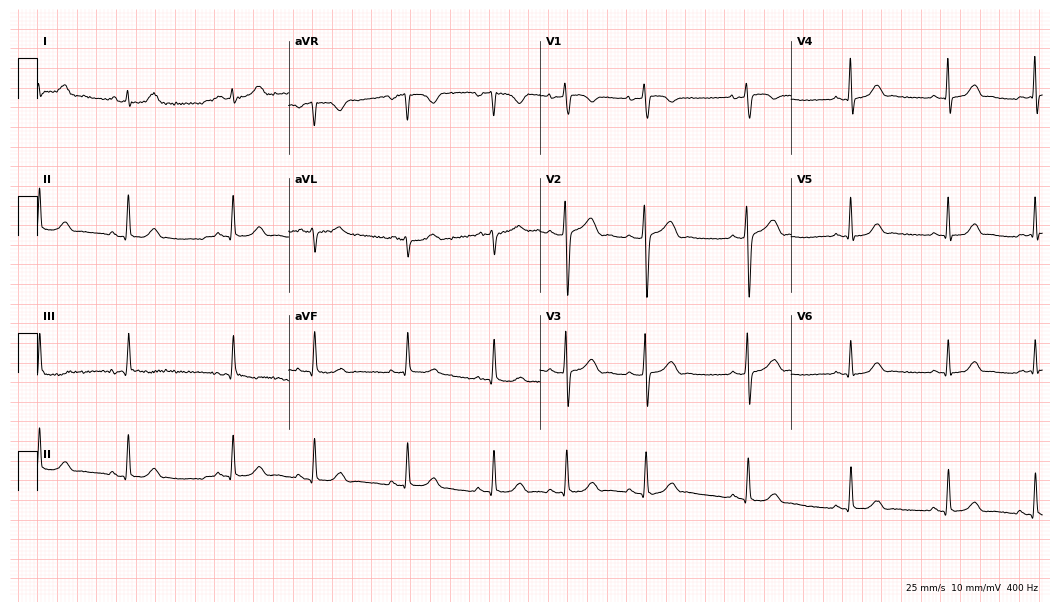
Standard 12-lead ECG recorded from a 25-year-old woman. None of these six findings is recorded: first-degree AV block, right bundle branch block (RBBB), left bundle branch block (LBBB), sinus bradycardia, atrial fibrillation (AF), sinus tachycardia.